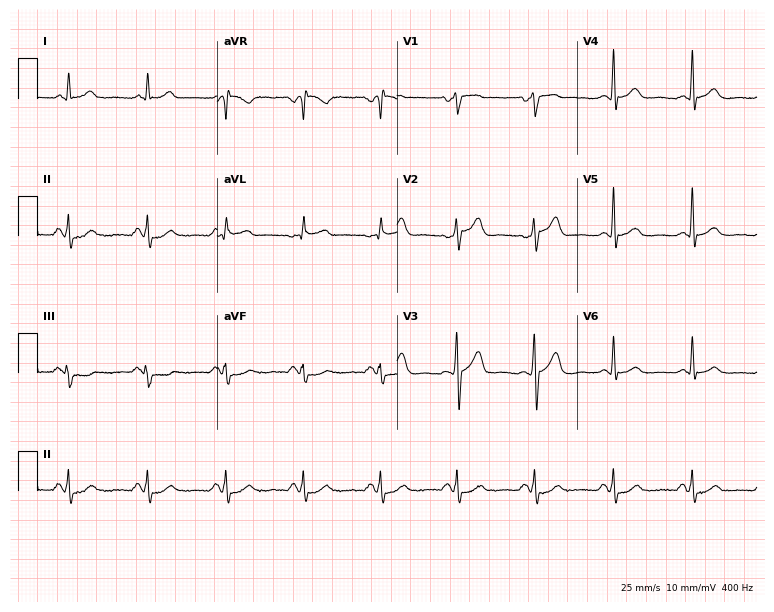
Standard 12-lead ECG recorded from a 51-year-old male. None of these six findings is recorded: first-degree AV block, right bundle branch block (RBBB), left bundle branch block (LBBB), sinus bradycardia, atrial fibrillation (AF), sinus tachycardia. Other findings, if any, are not listed.